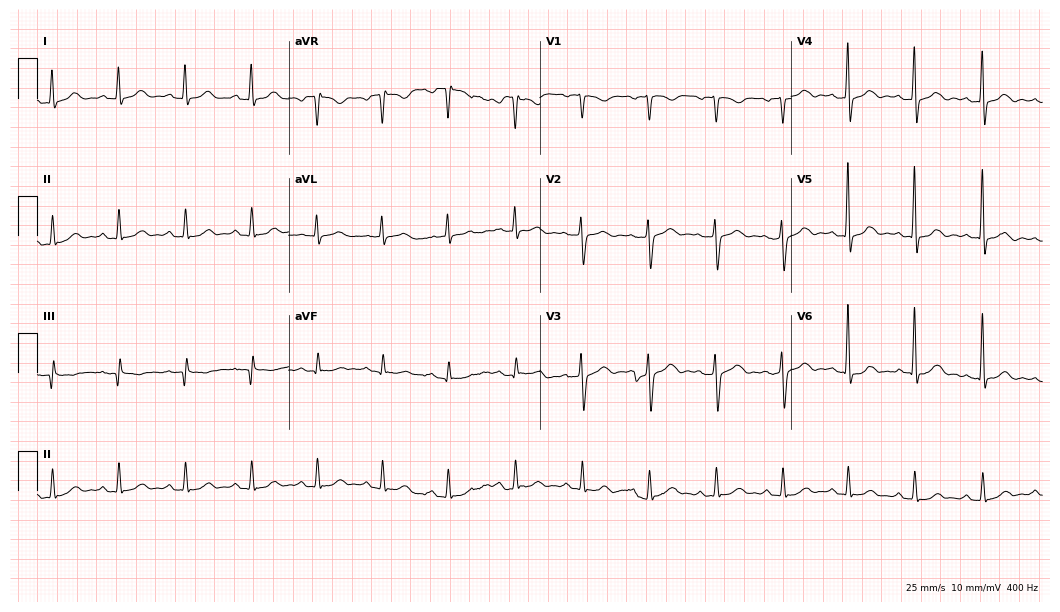
12-lead ECG from a 59-year-old male. Labelled as a normal ECG.